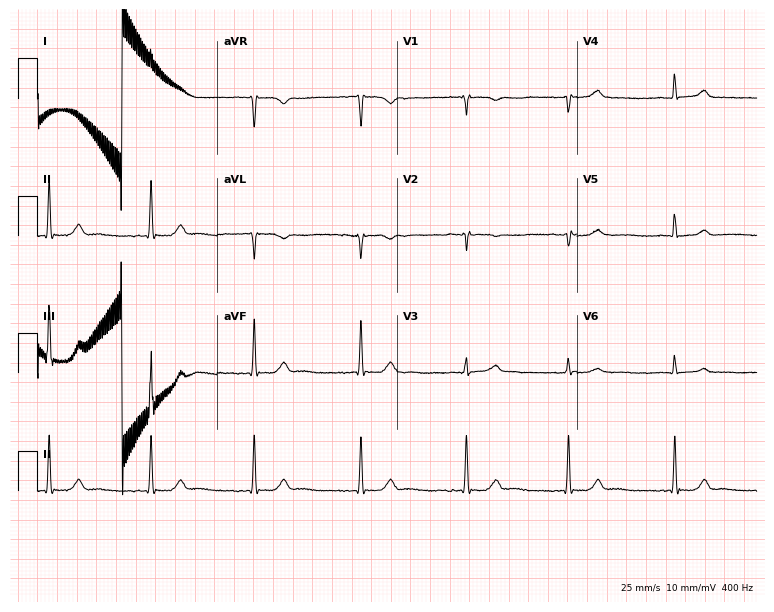
ECG — a woman, 36 years old. Screened for six findings — first-degree AV block, right bundle branch block (RBBB), left bundle branch block (LBBB), sinus bradycardia, atrial fibrillation (AF), sinus tachycardia — none is recorded. Findings outside these six are not listed.